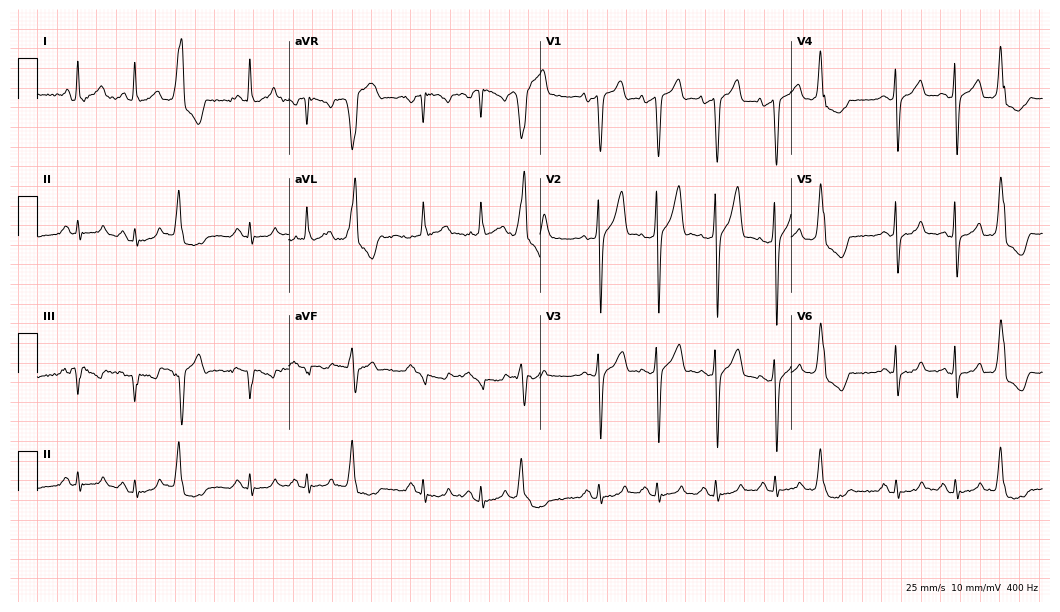
Resting 12-lead electrocardiogram. Patient: a 63-year-old man. The tracing shows sinus tachycardia (a sinus rate of 100 beats per minute or more).